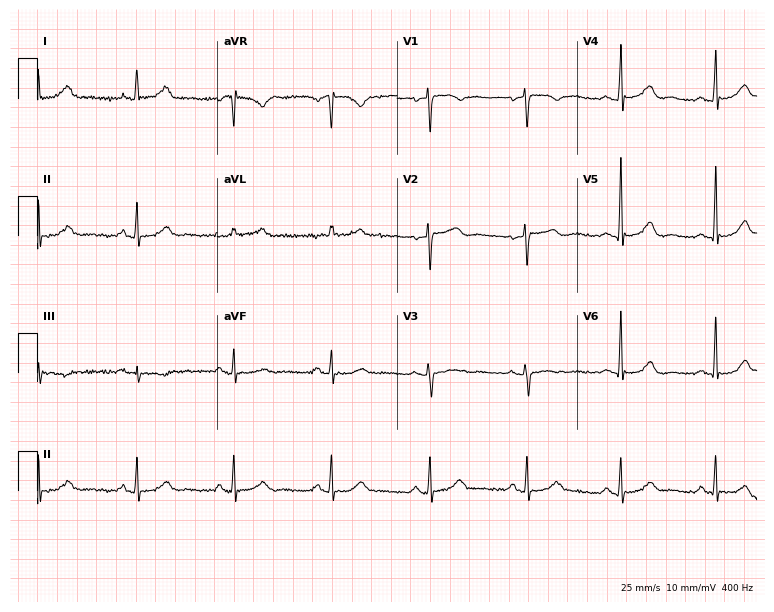
Standard 12-lead ECG recorded from a female, 45 years old (7.3-second recording at 400 Hz). Read as a normal ECG.